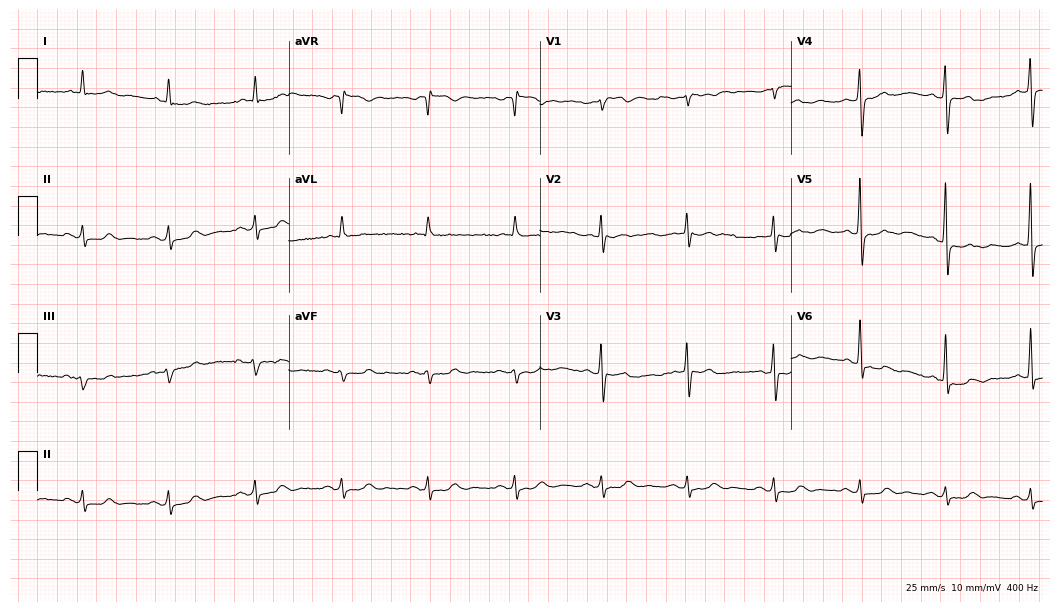
Resting 12-lead electrocardiogram. Patient: a male, 81 years old. None of these six findings is recorded: first-degree AV block, right bundle branch block, left bundle branch block, sinus bradycardia, atrial fibrillation, sinus tachycardia.